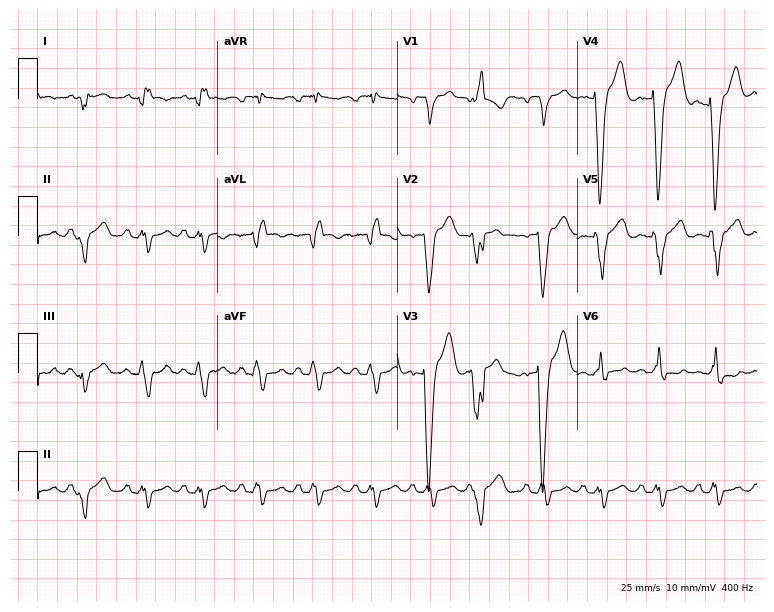
Resting 12-lead electrocardiogram (7.3-second recording at 400 Hz). Patient: a 53-year-old male. The tracing shows sinus tachycardia (a sinus rate of 100 beats per minute or more).